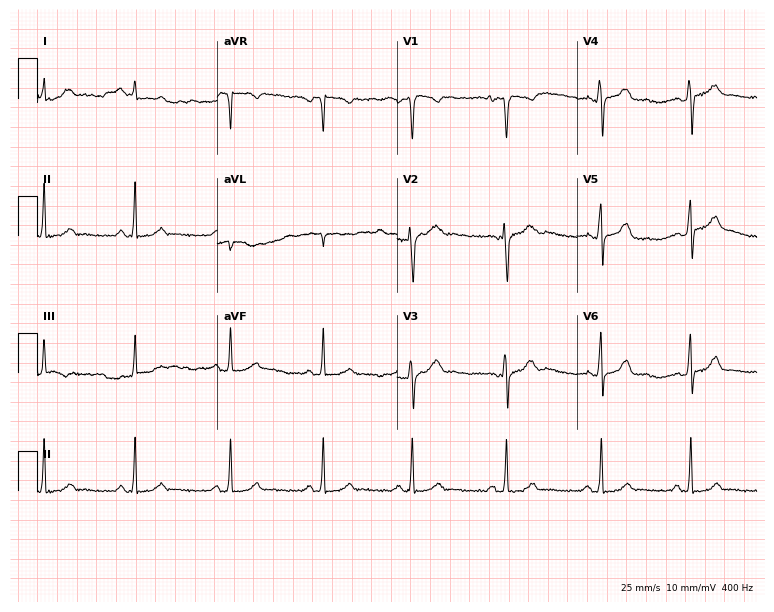
Resting 12-lead electrocardiogram (7.3-second recording at 400 Hz). Patient: a 27-year-old woman. Read as a normal ECG.